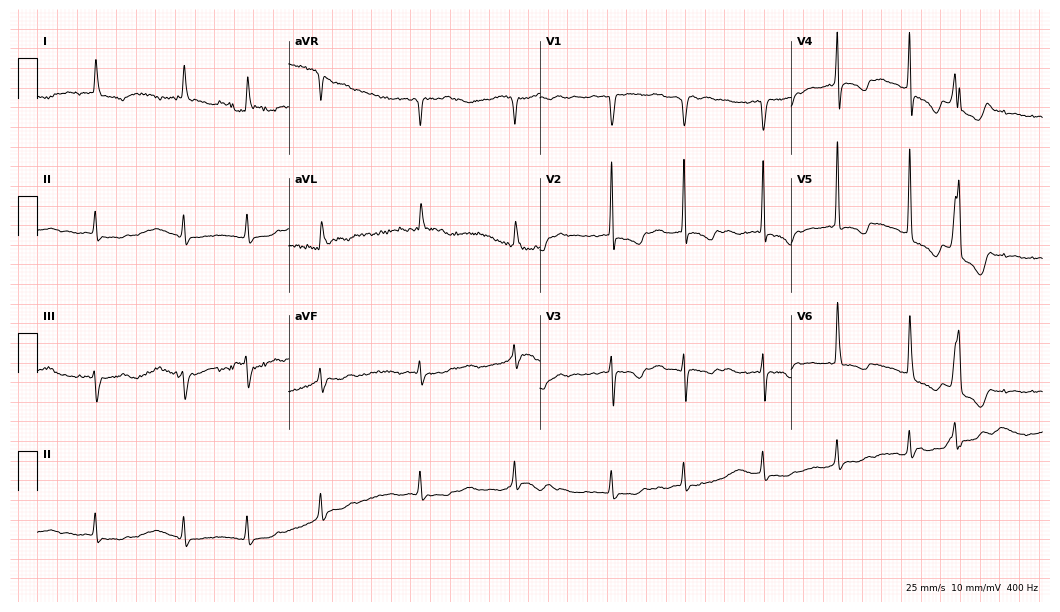
ECG — a female, 76 years old. Findings include atrial fibrillation (AF).